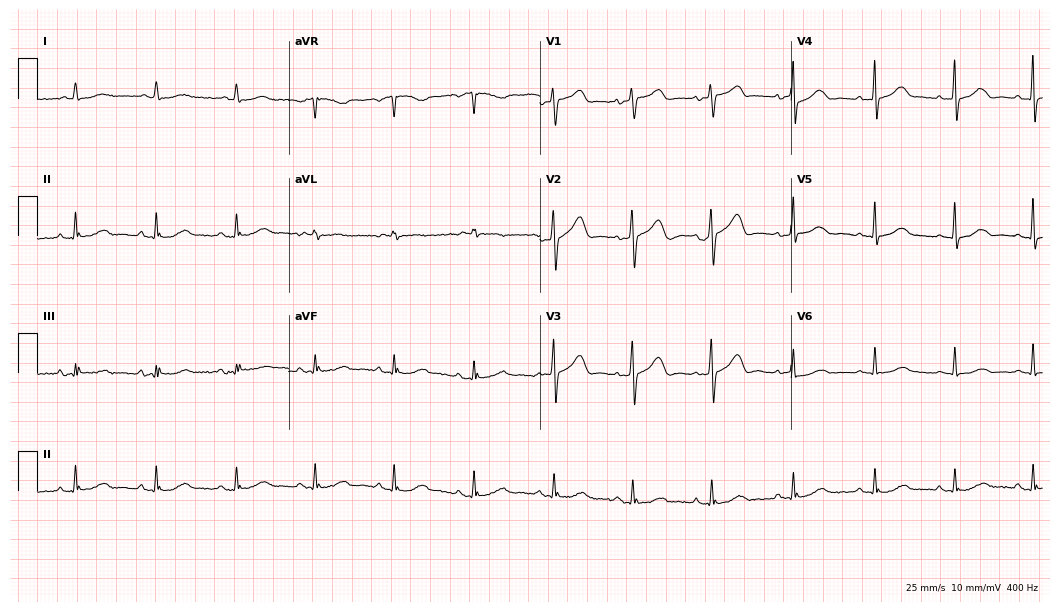
Resting 12-lead electrocardiogram (10.2-second recording at 400 Hz). Patient: an 83-year-old female. None of these six findings is recorded: first-degree AV block, right bundle branch block (RBBB), left bundle branch block (LBBB), sinus bradycardia, atrial fibrillation (AF), sinus tachycardia.